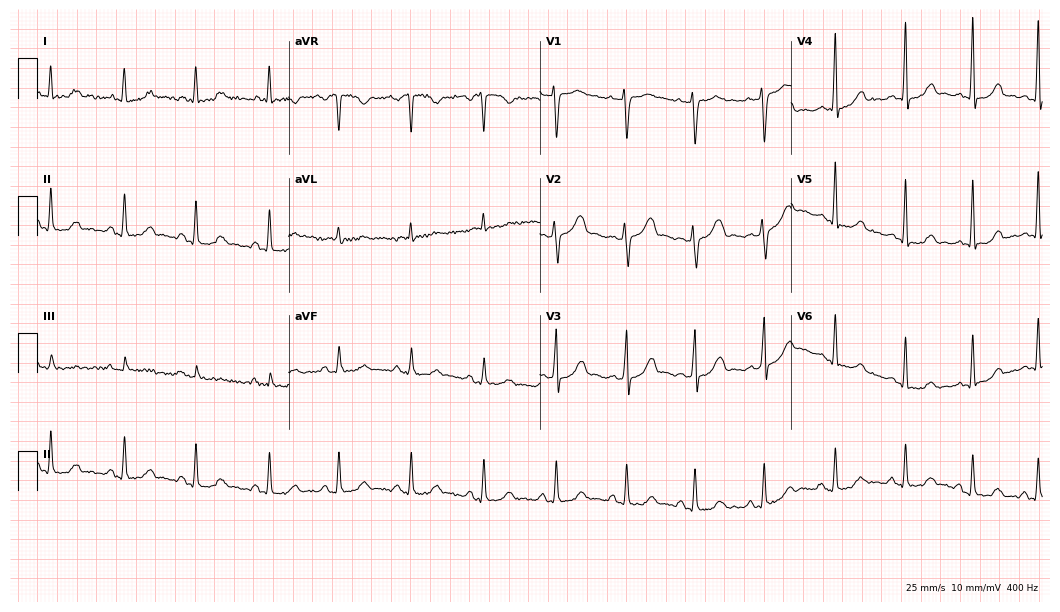
Resting 12-lead electrocardiogram. Patient: a 42-year-old female. Read as a normal ECG.